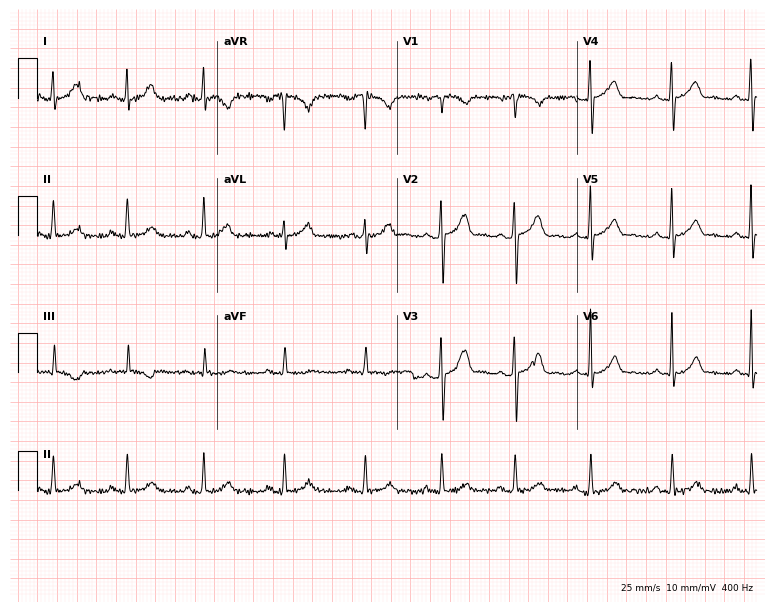
12-lead ECG (7.3-second recording at 400 Hz) from a woman, 29 years old. Screened for six findings — first-degree AV block, right bundle branch block, left bundle branch block, sinus bradycardia, atrial fibrillation, sinus tachycardia — none is recorded. Findings outside these six are not listed.